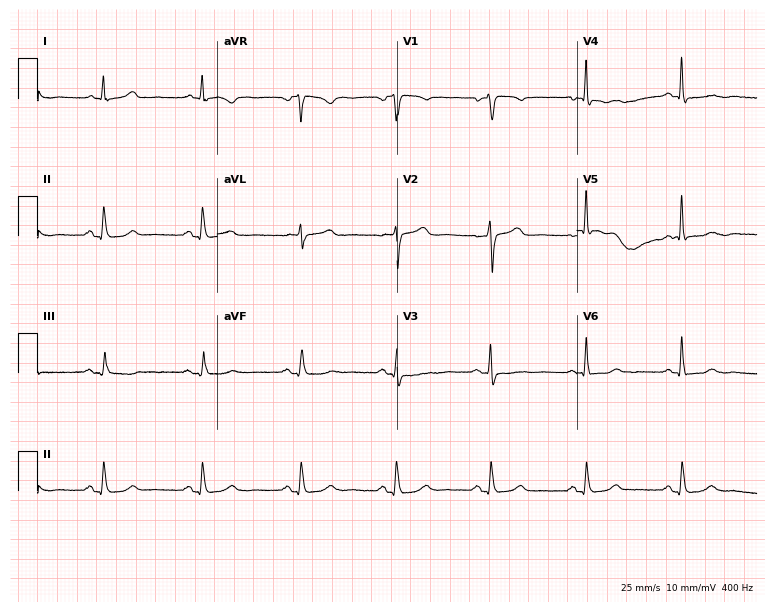
ECG — a 60-year-old female patient. Screened for six findings — first-degree AV block, right bundle branch block (RBBB), left bundle branch block (LBBB), sinus bradycardia, atrial fibrillation (AF), sinus tachycardia — none is recorded. Other findings, if any, are not listed.